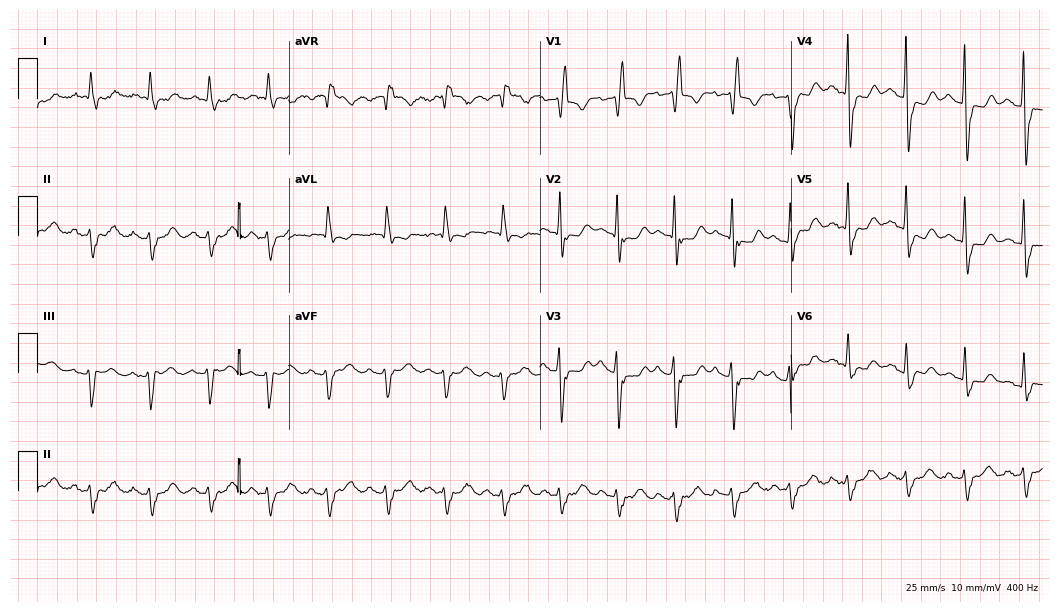
12-lead ECG from an 84-year-old woman. Screened for six findings — first-degree AV block, right bundle branch block, left bundle branch block, sinus bradycardia, atrial fibrillation, sinus tachycardia — none is recorded. Only these six findings were labelled.